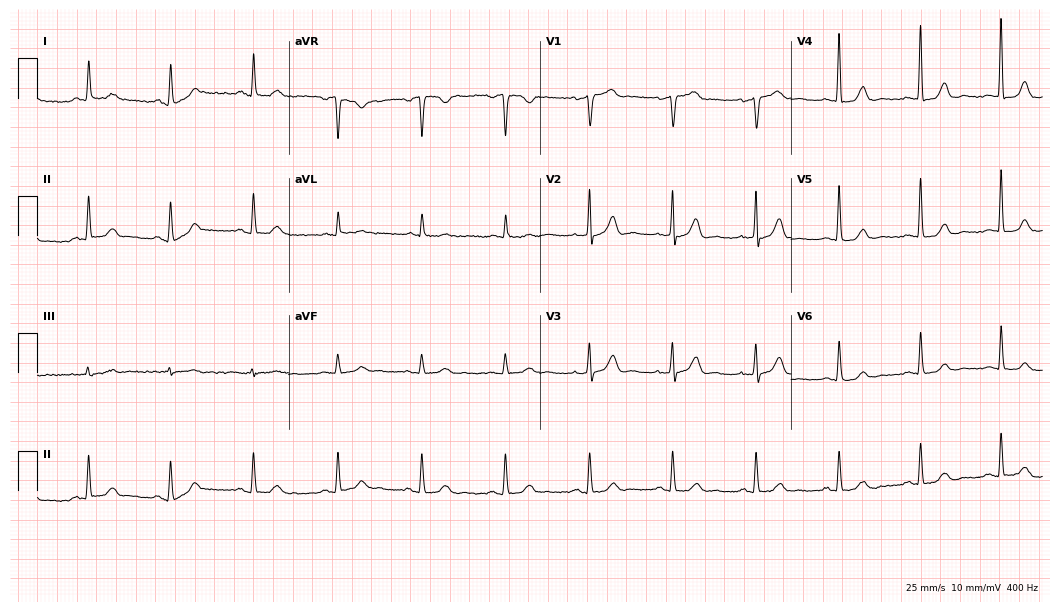
Standard 12-lead ECG recorded from a 64-year-old female. None of these six findings is recorded: first-degree AV block, right bundle branch block, left bundle branch block, sinus bradycardia, atrial fibrillation, sinus tachycardia. Findings outside these six are not listed.